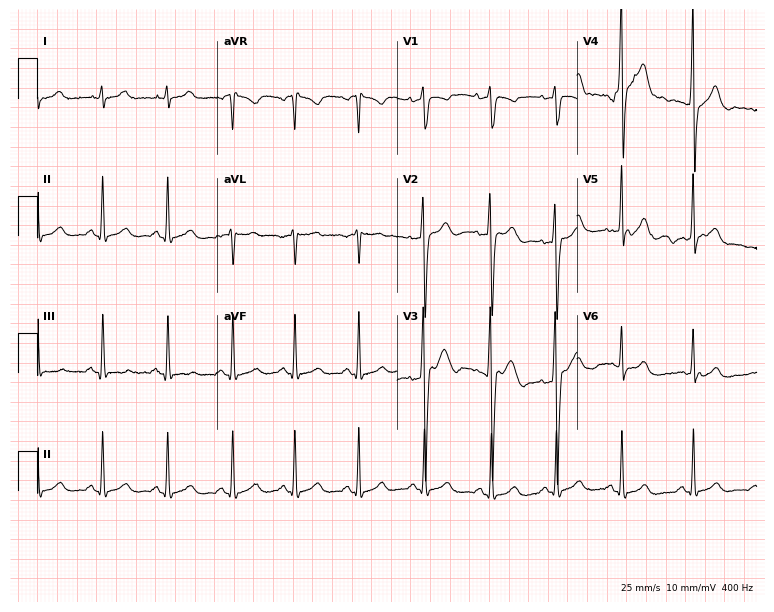
Standard 12-lead ECG recorded from a 26-year-old man. None of these six findings is recorded: first-degree AV block, right bundle branch block (RBBB), left bundle branch block (LBBB), sinus bradycardia, atrial fibrillation (AF), sinus tachycardia.